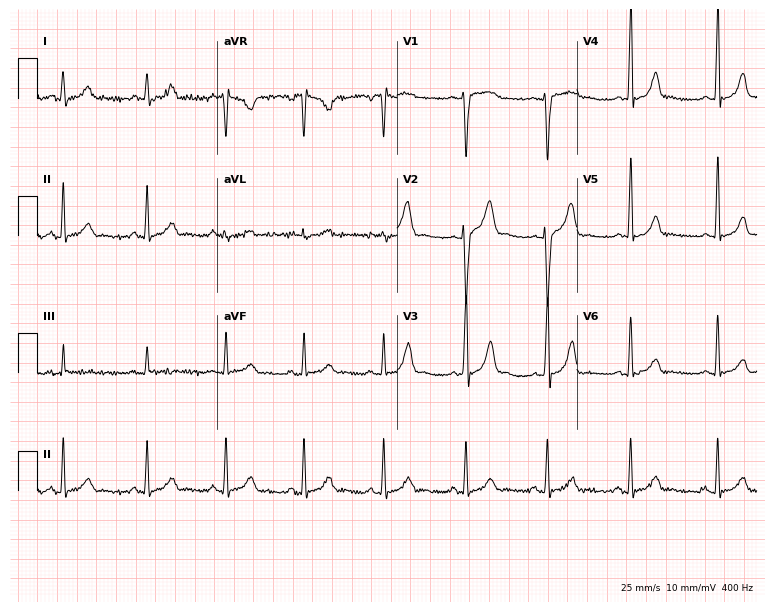
Standard 12-lead ECG recorded from a 28-year-old male patient. Read as a normal ECG.